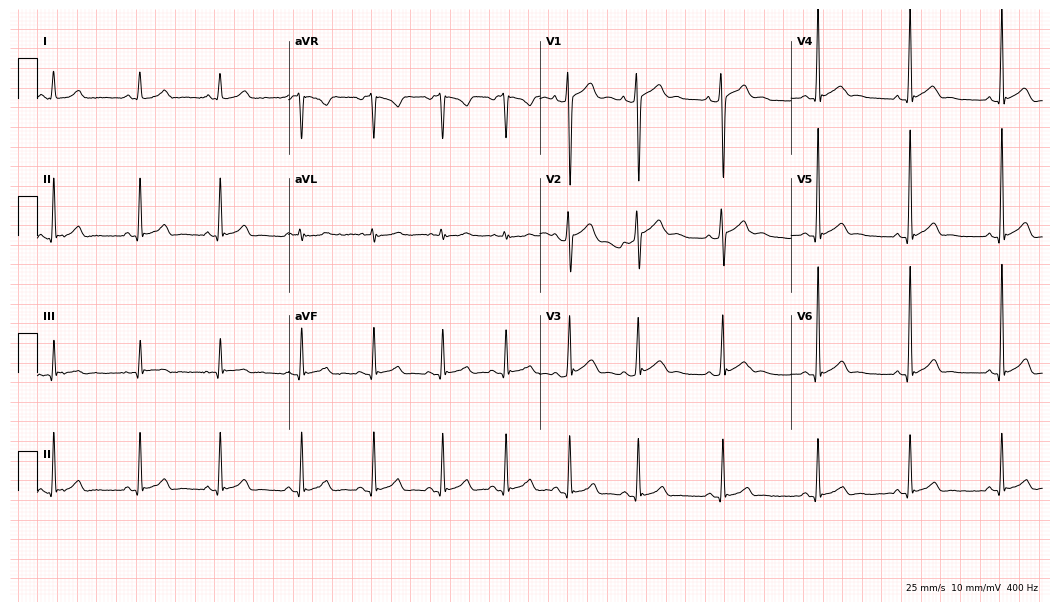
12-lead ECG from a 17-year-old male patient. Labelled as a normal ECG.